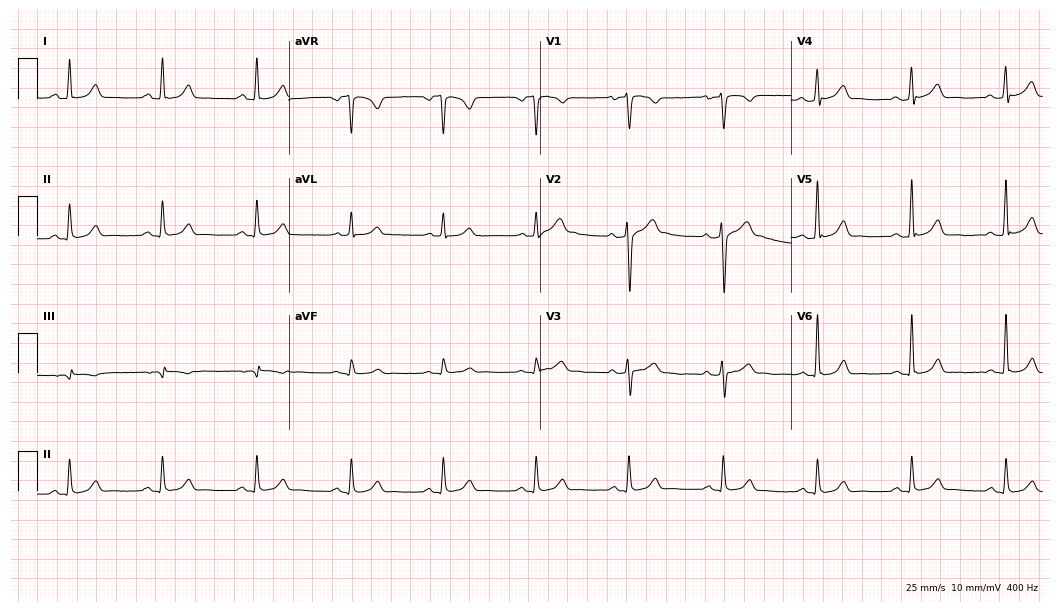
12-lead ECG from a 54-year-old man. Recorded interpretation: within normal limits.